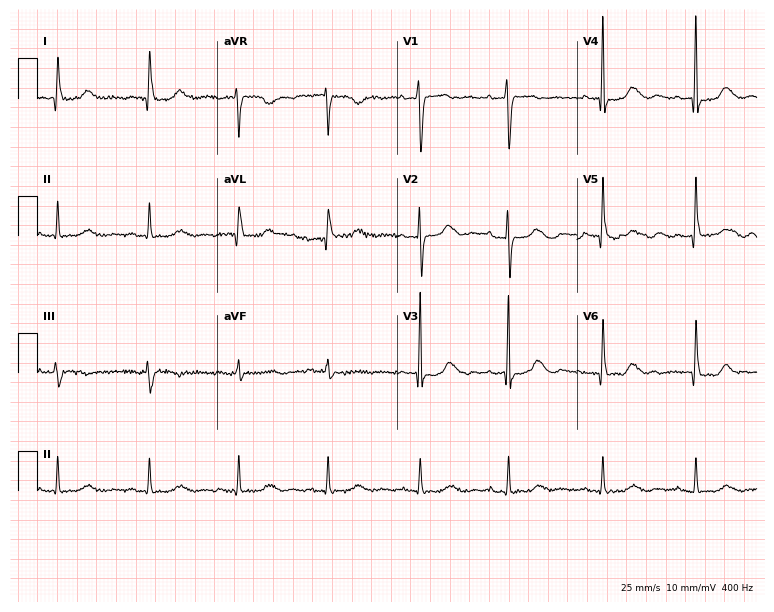
Standard 12-lead ECG recorded from a 70-year-old female. None of these six findings is recorded: first-degree AV block, right bundle branch block, left bundle branch block, sinus bradycardia, atrial fibrillation, sinus tachycardia. Findings outside these six are not listed.